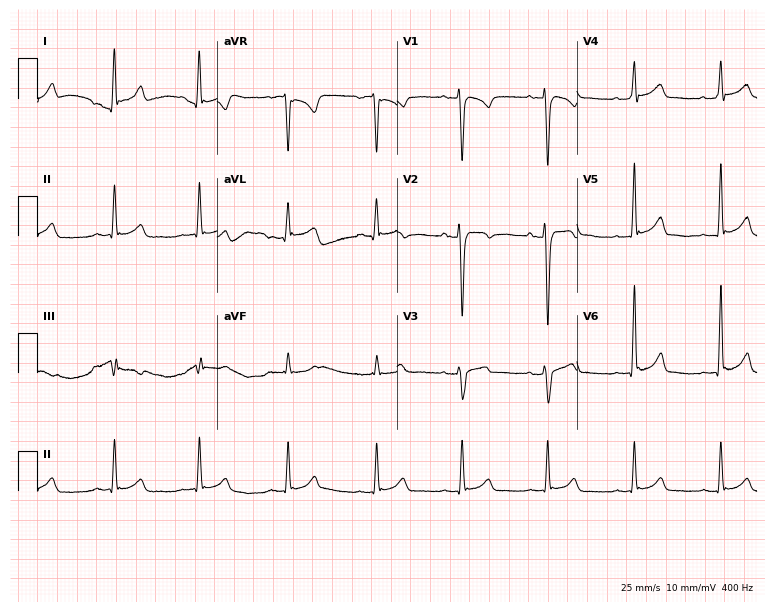
Electrocardiogram (7.3-second recording at 400 Hz), a man, 31 years old. Of the six screened findings (first-degree AV block, right bundle branch block (RBBB), left bundle branch block (LBBB), sinus bradycardia, atrial fibrillation (AF), sinus tachycardia), none is recorded.